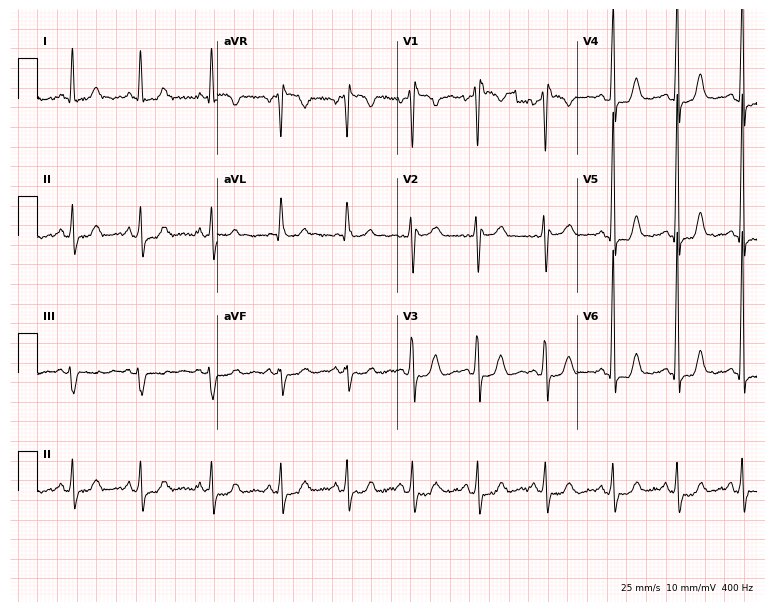
12-lead ECG from a female patient, 60 years old. Screened for six findings — first-degree AV block, right bundle branch block, left bundle branch block, sinus bradycardia, atrial fibrillation, sinus tachycardia — none is recorded.